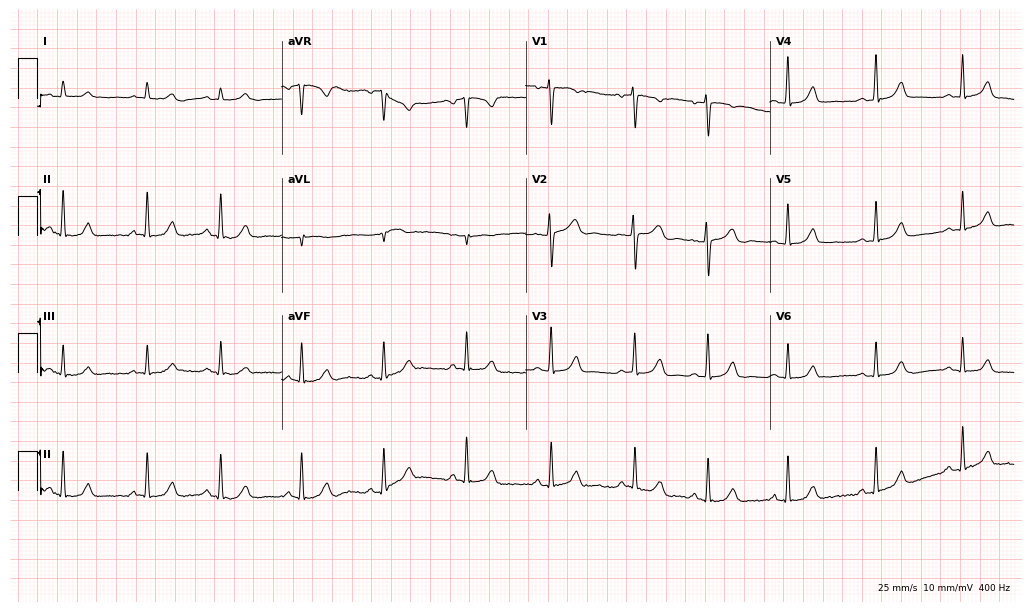
12-lead ECG from a female patient, 21 years old (10-second recording at 400 Hz). Recorded interpretation: within normal limits.